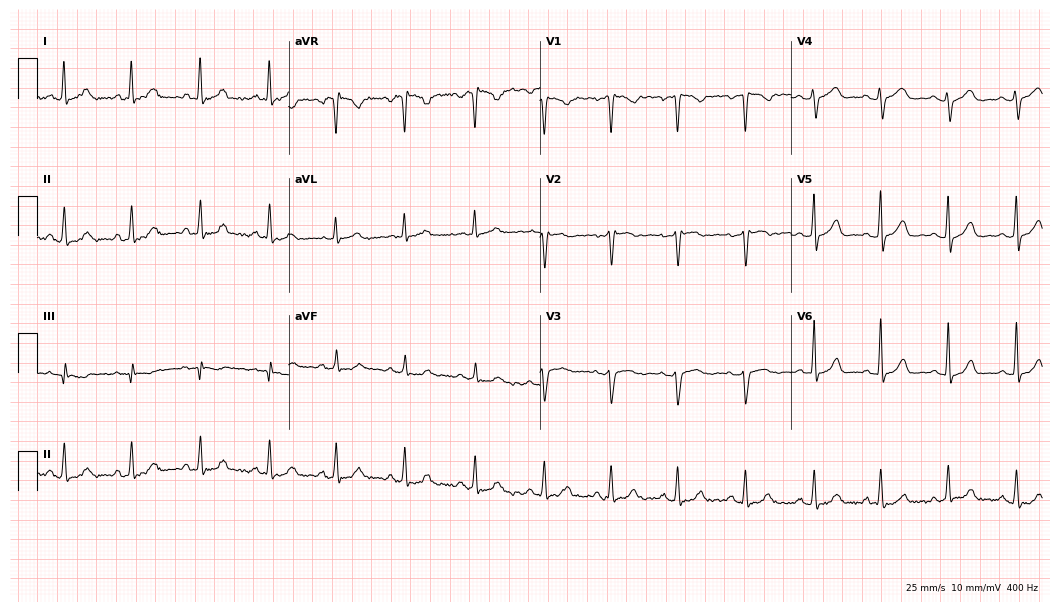
Electrocardiogram, a 29-year-old female. Of the six screened findings (first-degree AV block, right bundle branch block (RBBB), left bundle branch block (LBBB), sinus bradycardia, atrial fibrillation (AF), sinus tachycardia), none is recorded.